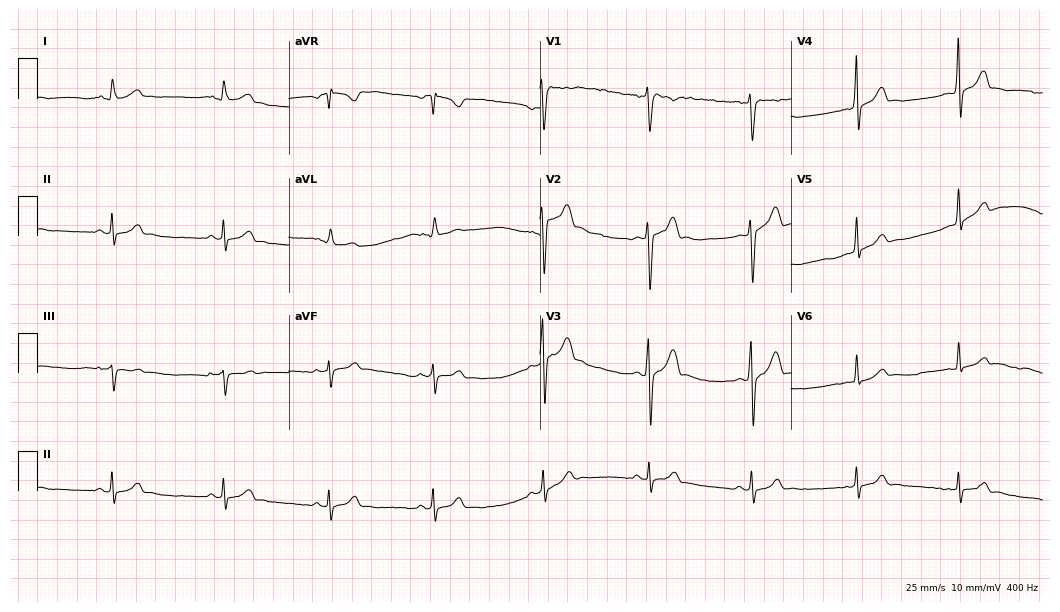
ECG (10.2-second recording at 400 Hz) — a male patient, 21 years old. Labelled as a normal ECG.